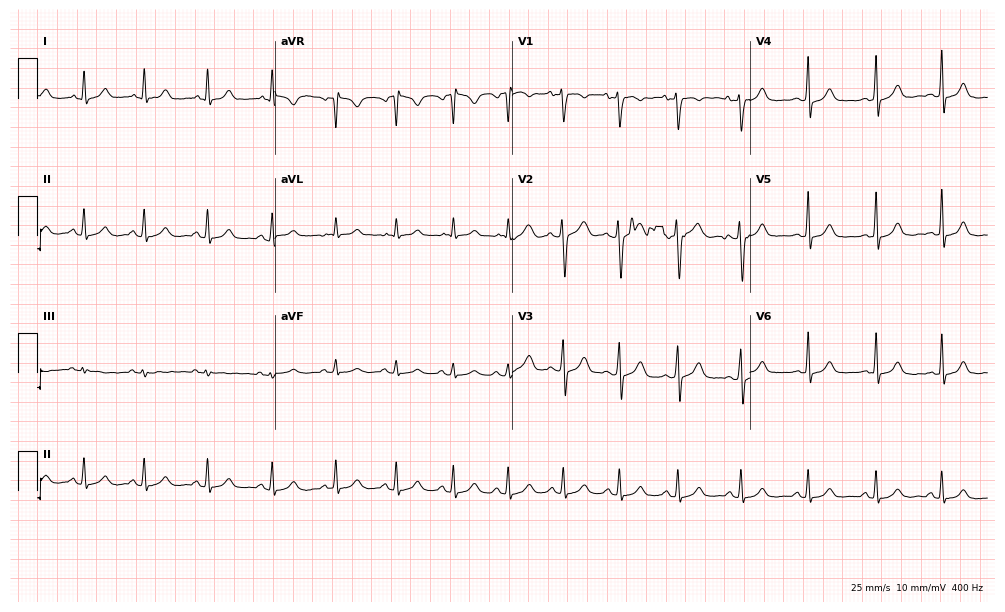
12-lead ECG from a female, 21 years old. Recorded interpretation: within normal limits.